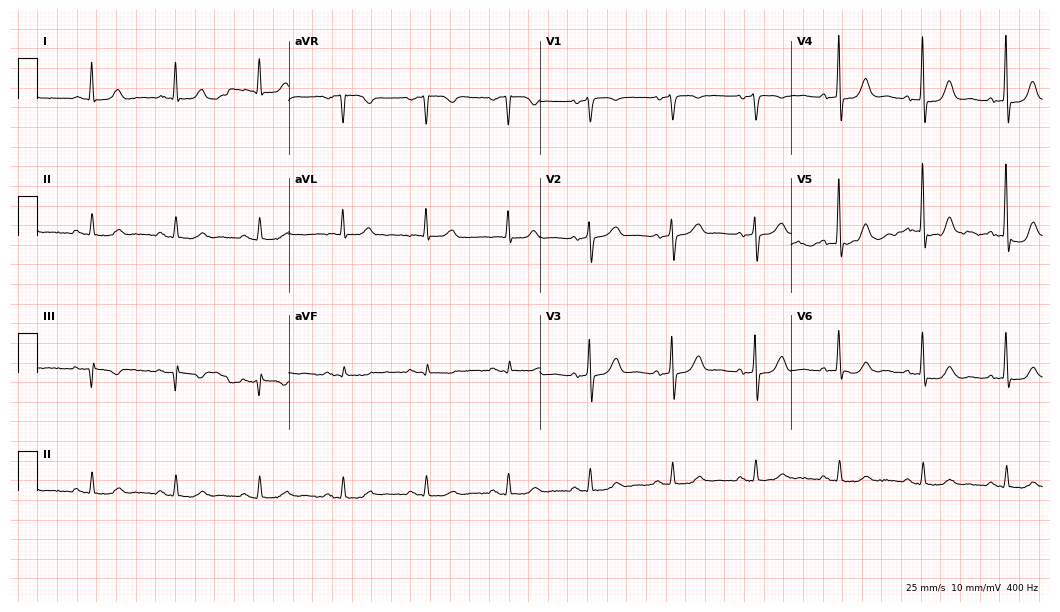
Resting 12-lead electrocardiogram. Patient: a 73-year-old male. Read as a normal ECG.